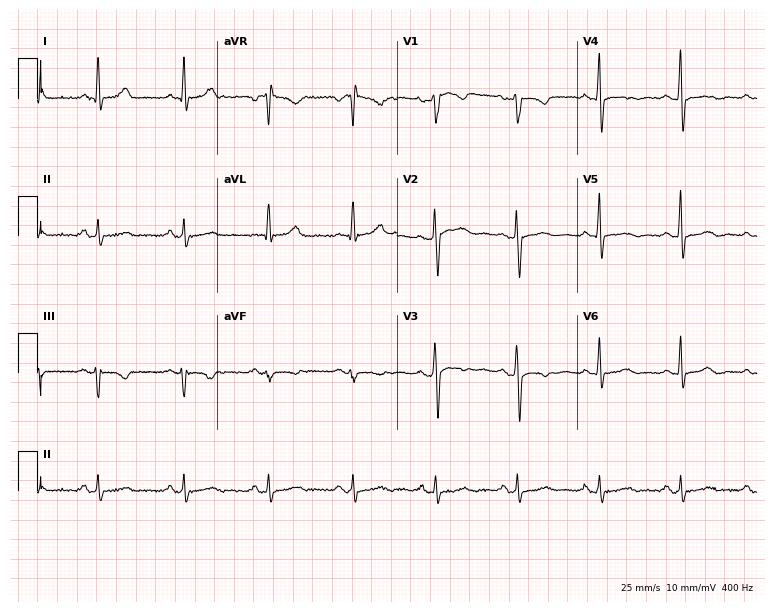
Electrocardiogram (7.3-second recording at 400 Hz), a male, 53 years old. Of the six screened findings (first-degree AV block, right bundle branch block, left bundle branch block, sinus bradycardia, atrial fibrillation, sinus tachycardia), none is recorded.